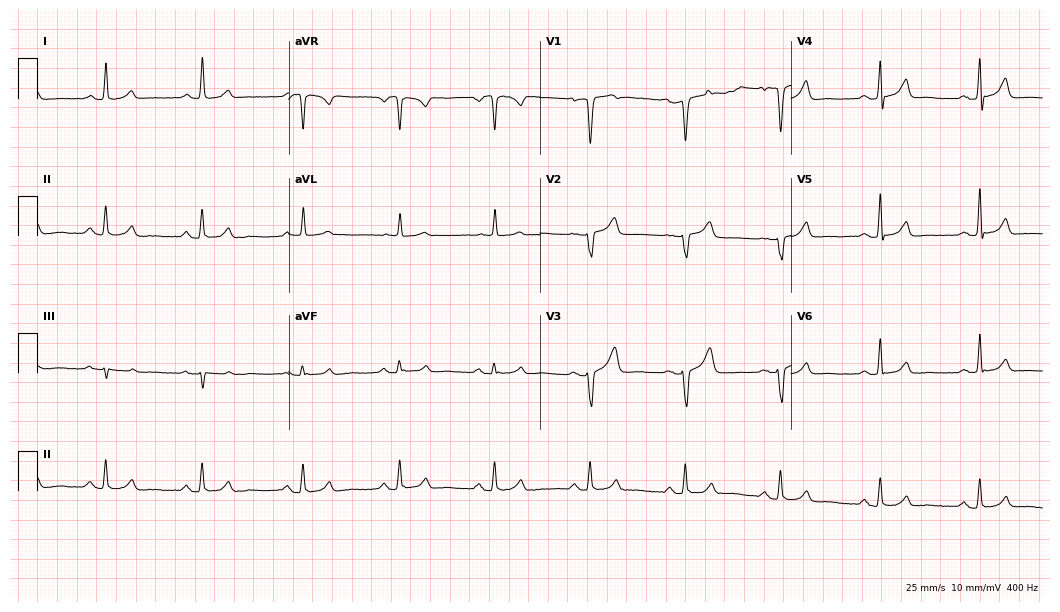
Electrocardiogram (10.2-second recording at 400 Hz), a 58-year-old female patient. Of the six screened findings (first-degree AV block, right bundle branch block (RBBB), left bundle branch block (LBBB), sinus bradycardia, atrial fibrillation (AF), sinus tachycardia), none is recorded. Other findings, if any, are not listed.